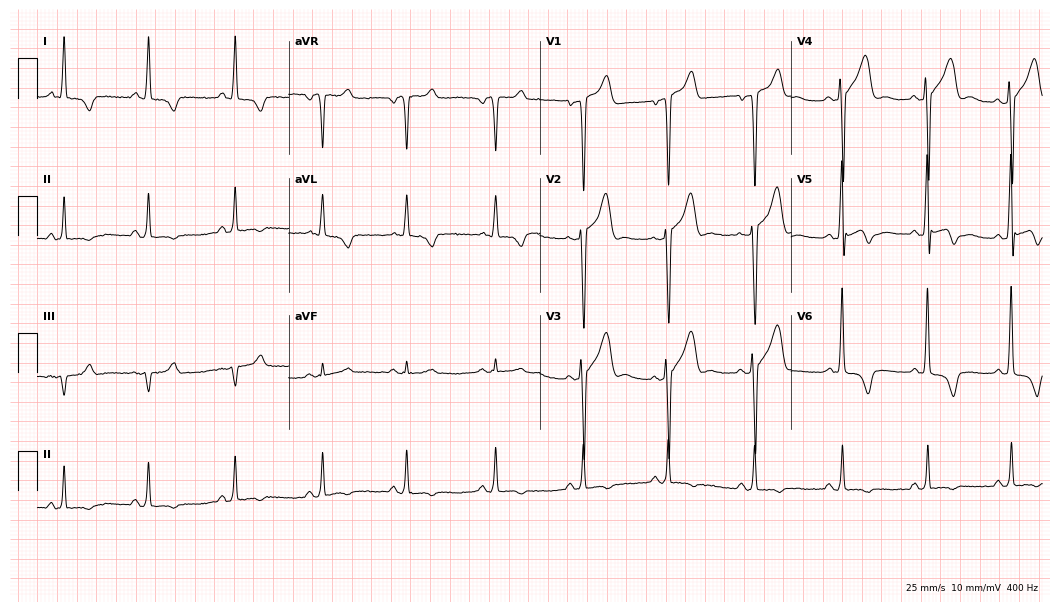
ECG — a male patient, 41 years old. Screened for six findings — first-degree AV block, right bundle branch block (RBBB), left bundle branch block (LBBB), sinus bradycardia, atrial fibrillation (AF), sinus tachycardia — none is recorded.